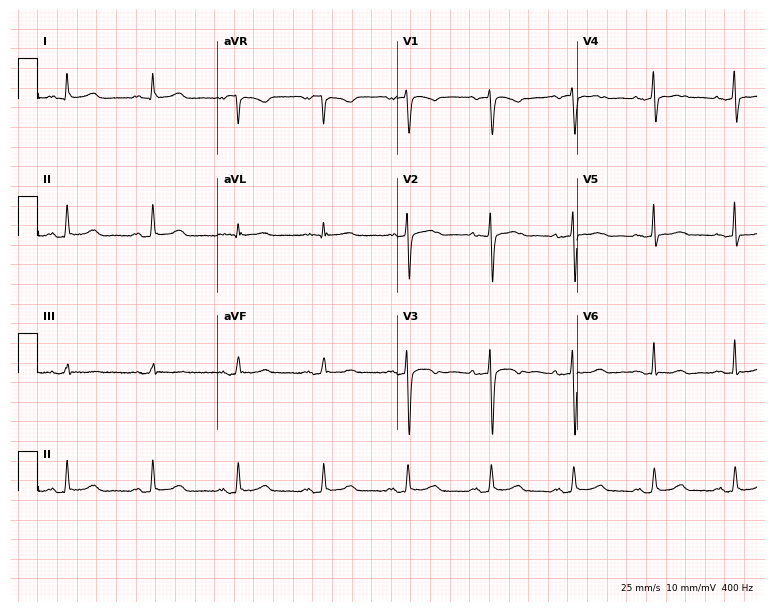
Standard 12-lead ECG recorded from a woman, 61 years old (7.3-second recording at 400 Hz). Read as a normal ECG.